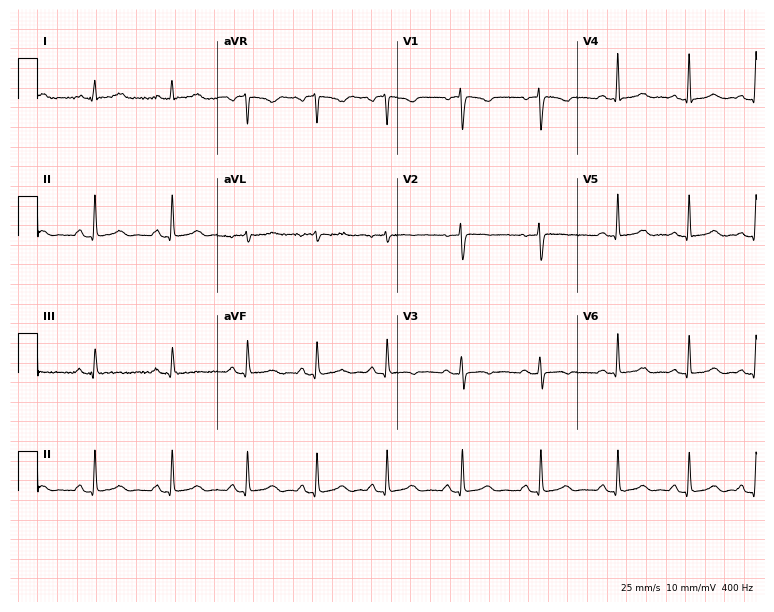
12-lead ECG from a female patient, 25 years old. Labelled as a normal ECG.